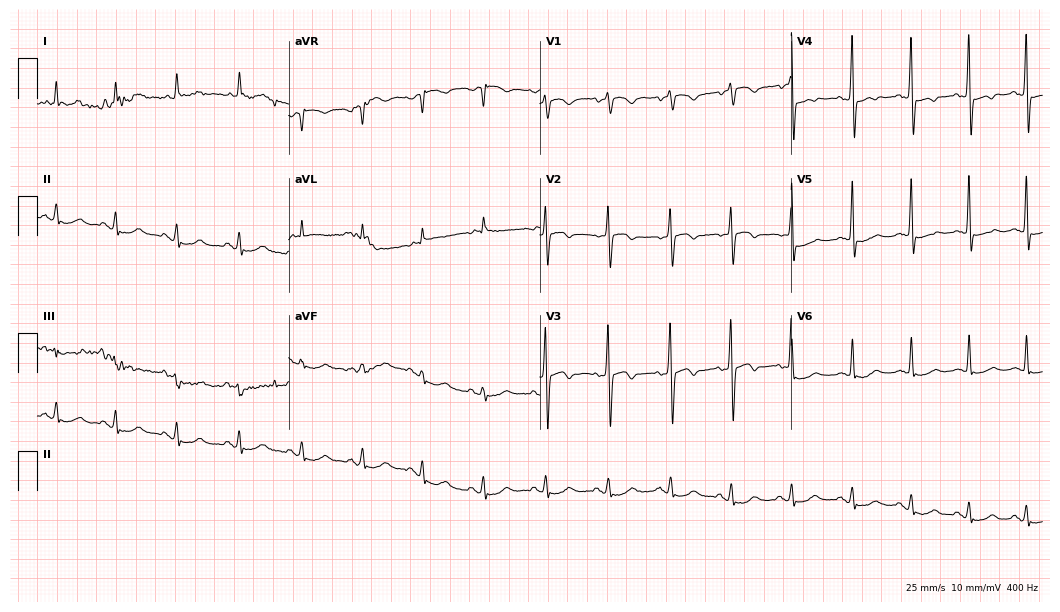
ECG (10.2-second recording at 400 Hz) — an 82-year-old female patient. Screened for six findings — first-degree AV block, right bundle branch block, left bundle branch block, sinus bradycardia, atrial fibrillation, sinus tachycardia — none is recorded. Other findings, if any, are not listed.